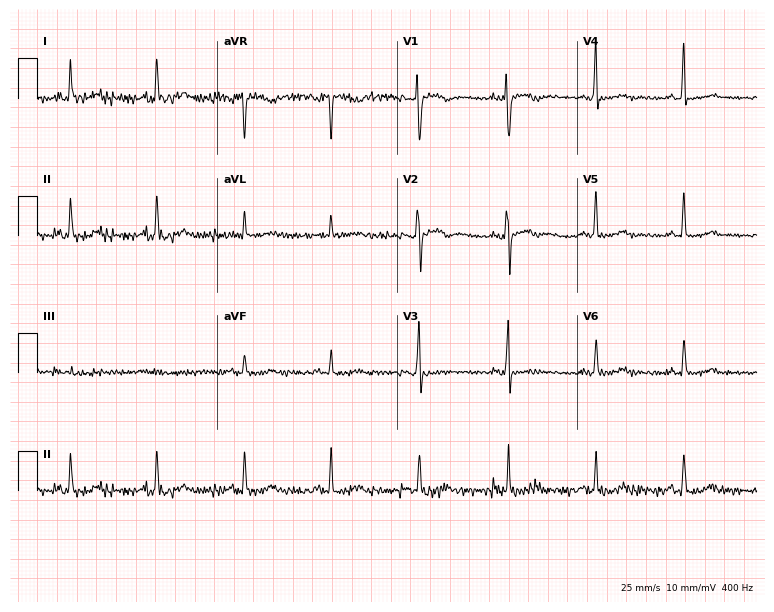
Resting 12-lead electrocardiogram. Patient: a female, 68 years old. None of these six findings is recorded: first-degree AV block, right bundle branch block, left bundle branch block, sinus bradycardia, atrial fibrillation, sinus tachycardia.